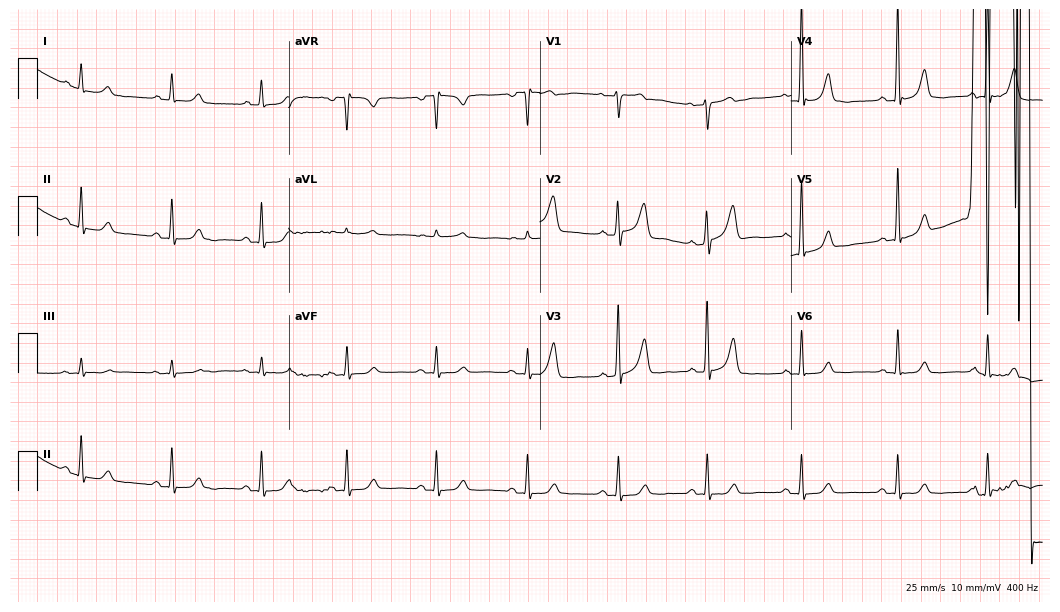
ECG (10.2-second recording at 400 Hz) — a 45-year-old female. Screened for six findings — first-degree AV block, right bundle branch block, left bundle branch block, sinus bradycardia, atrial fibrillation, sinus tachycardia — none is recorded.